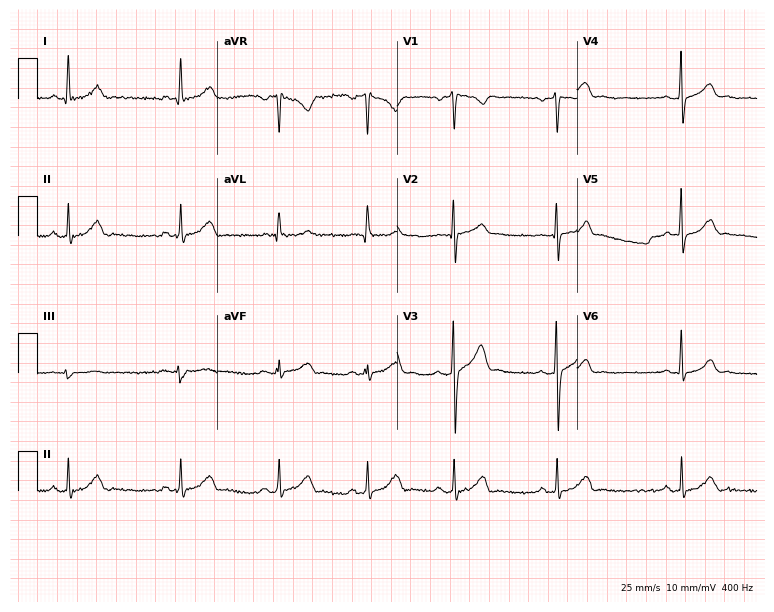
12-lead ECG from a 29-year-old male. Recorded interpretation: within normal limits.